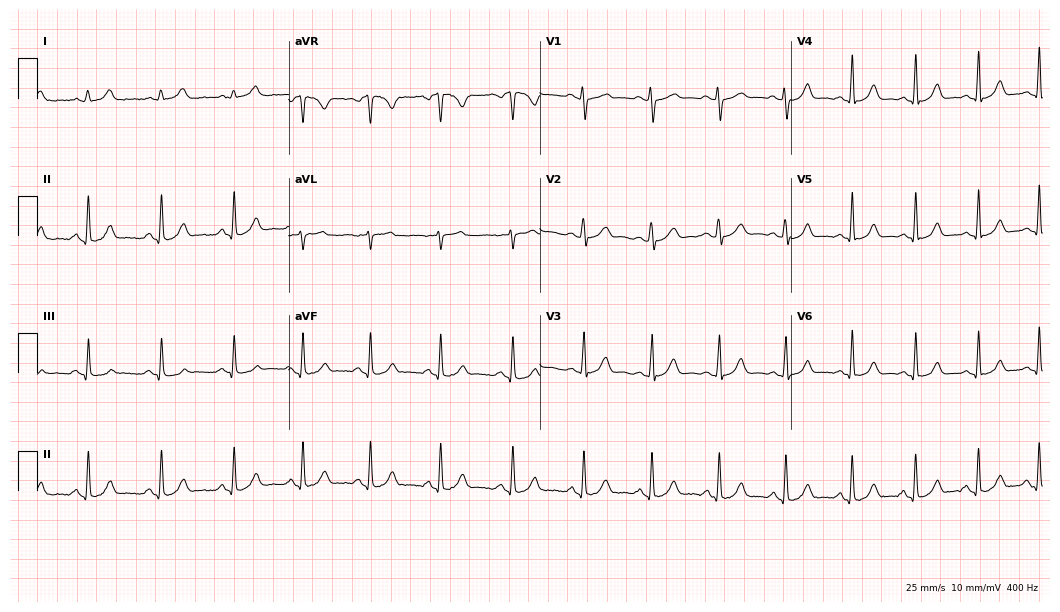
Standard 12-lead ECG recorded from a female patient, 20 years old (10.2-second recording at 400 Hz). Read as a normal ECG.